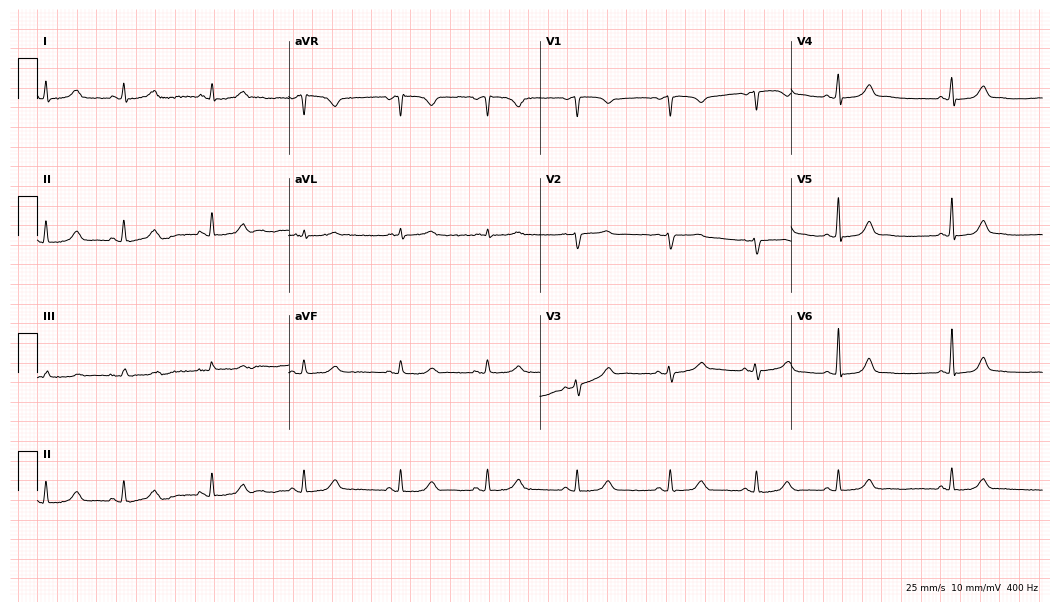
Electrocardiogram, a 45-year-old female patient. Of the six screened findings (first-degree AV block, right bundle branch block, left bundle branch block, sinus bradycardia, atrial fibrillation, sinus tachycardia), none is recorded.